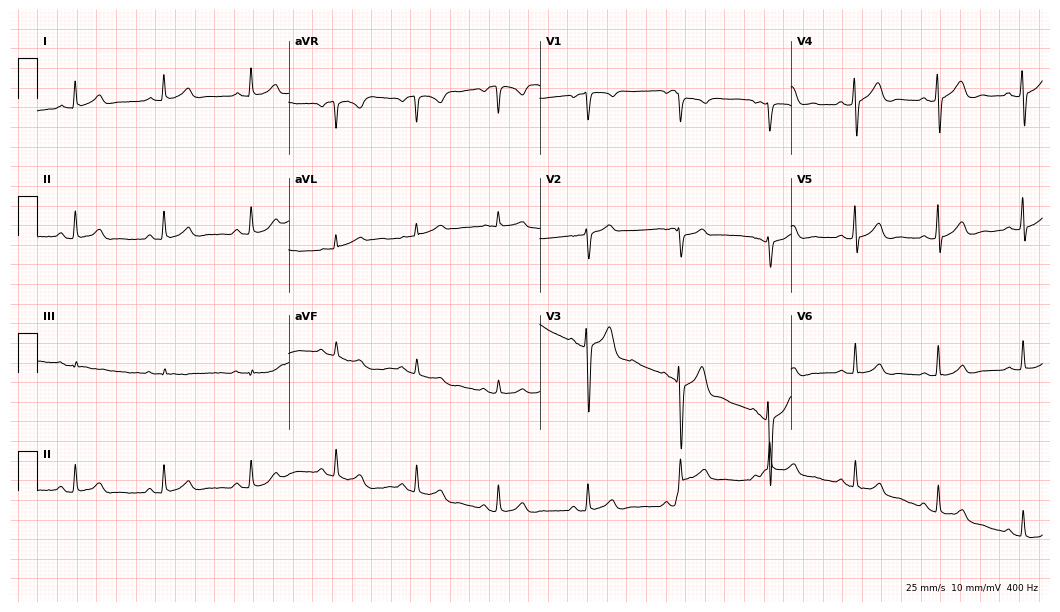
Standard 12-lead ECG recorded from a 33-year-old man (10.2-second recording at 400 Hz). Read as a normal ECG.